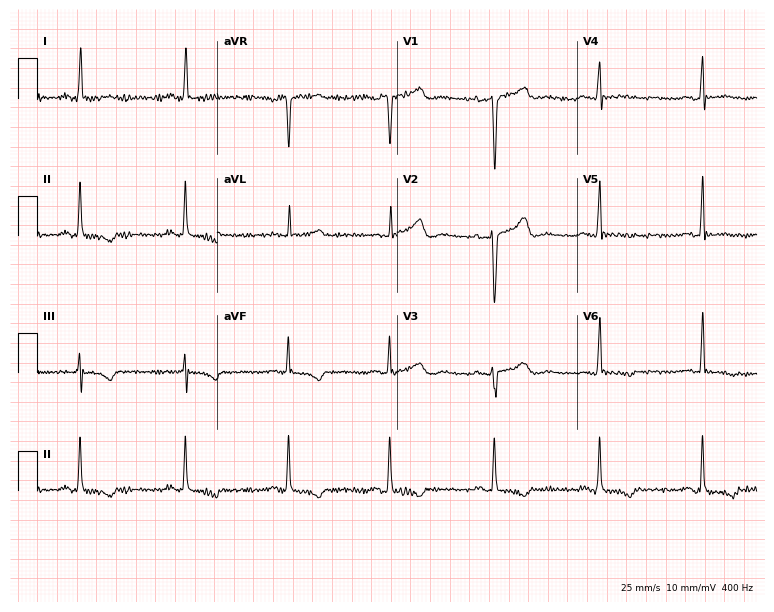
ECG (7.3-second recording at 400 Hz) — a 58-year-old female. Screened for six findings — first-degree AV block, right bundle branch block, left bundle branch block, sinus bradycardia, atrial fibrillation, sinus tachycardia — none is recorded.